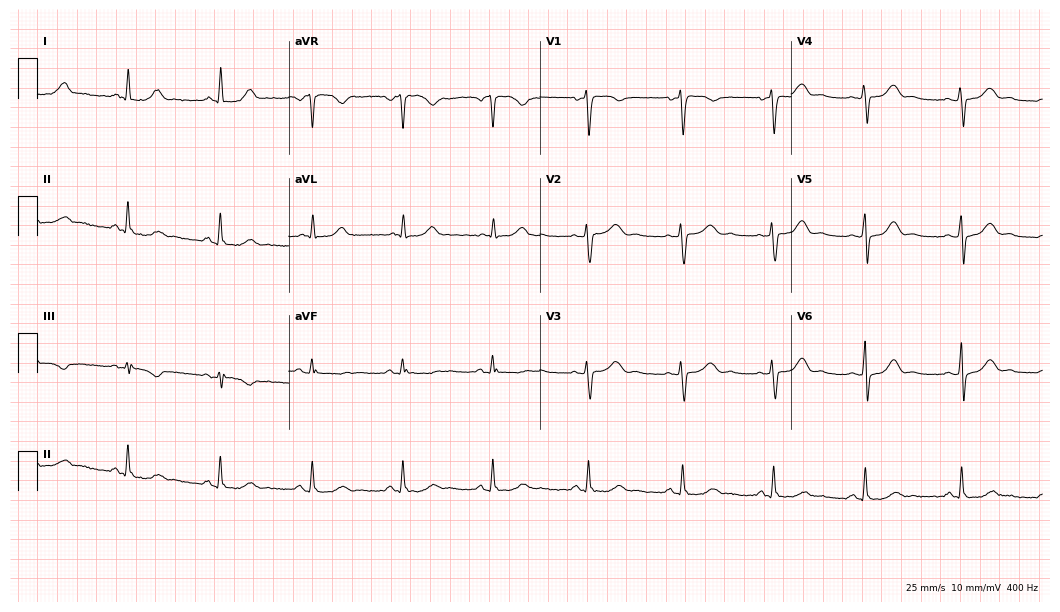
12-lead ECG from a 46-year-old woman (10.2-second recording at 400 Hz). Recorded interpretation: within normal limits.